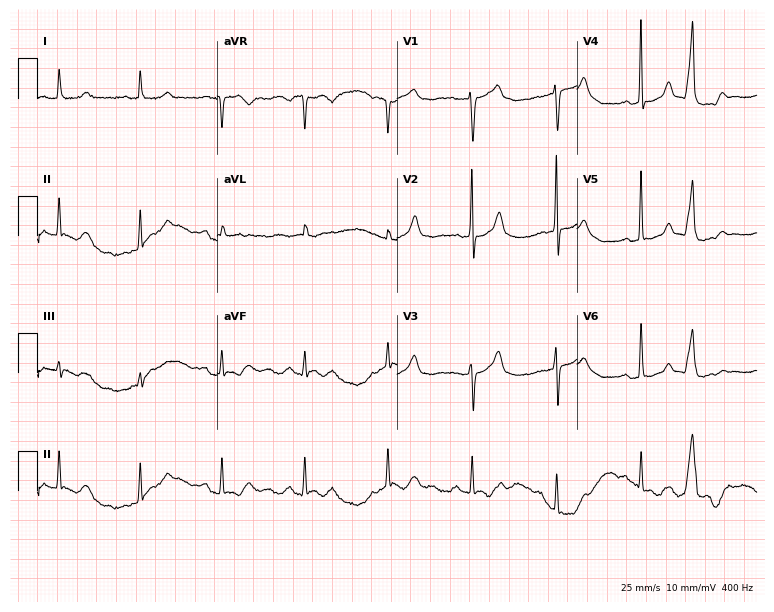
12-lead ECG from a woman, 82 years old. No first-degree AV block, right bundle branch block (RBBB), left bundle branch block (LBBB), sinus bradycardia, atrial fibrillation (AF) or sinus tachycardia recorded for this tracing.